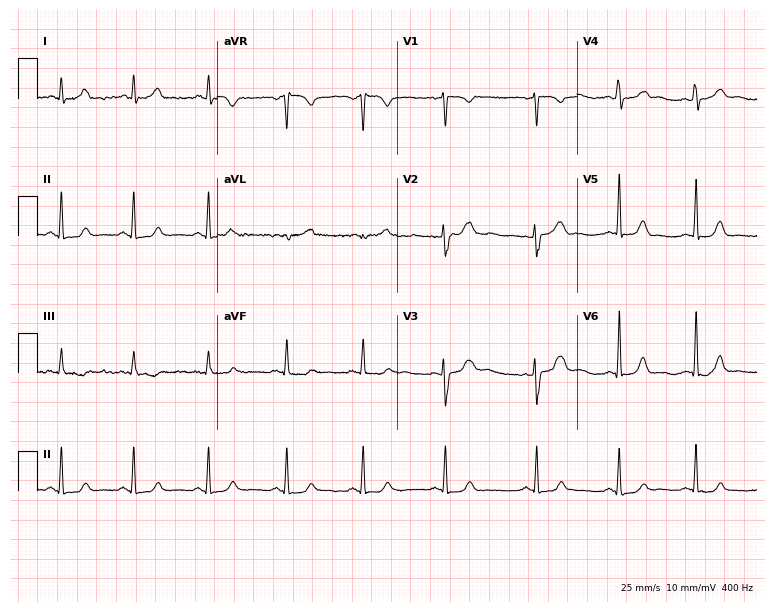
12-lead ECG (7.3-second recording at 400 Hz) from a 32-year-old woman. Labelled as a normal ECG.